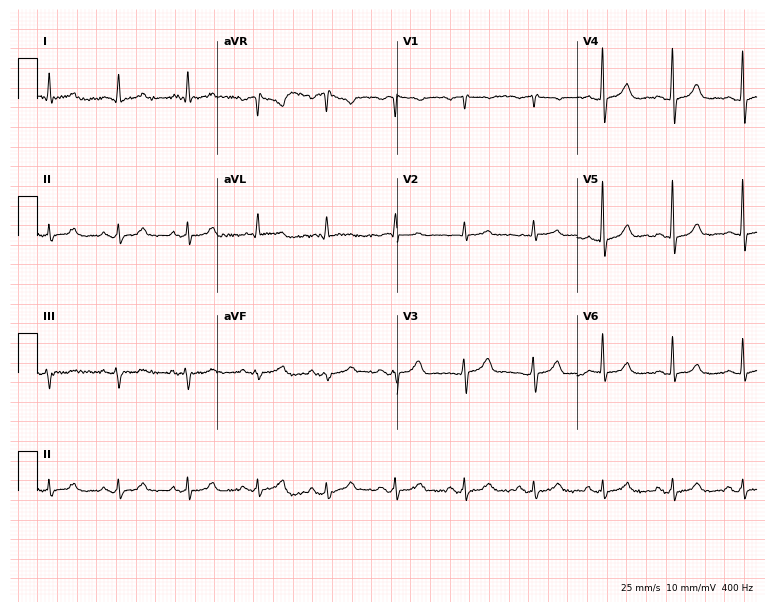
12-lead ECG from a 59-year-old male patient (7.3-second recording at 400 Hz). Recorded interpretation: within normal limits.